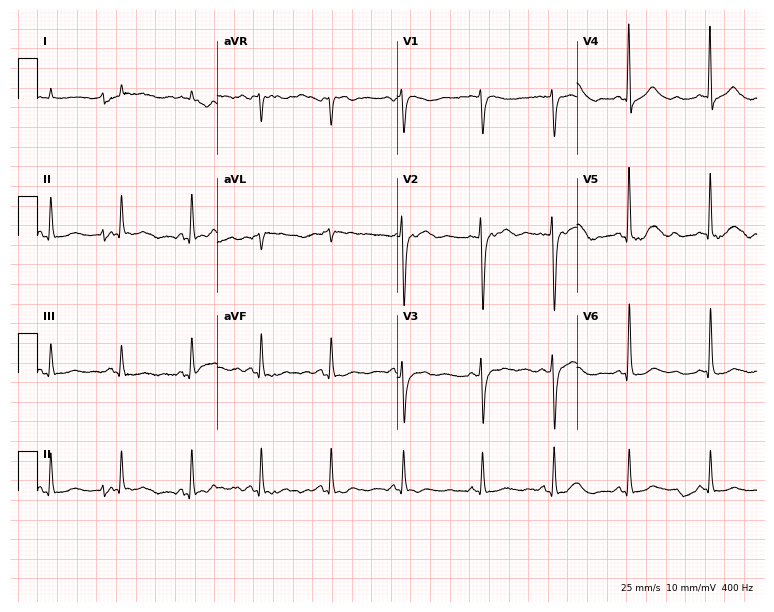
Electrocardiogram, a female patient, 77 years old. Of the six screened findings (first-degree AV block, right bundle branch block, left bundle branch block, sinus bradycardia, atrial fibrillation, sinus tachycardia), none is recorded.